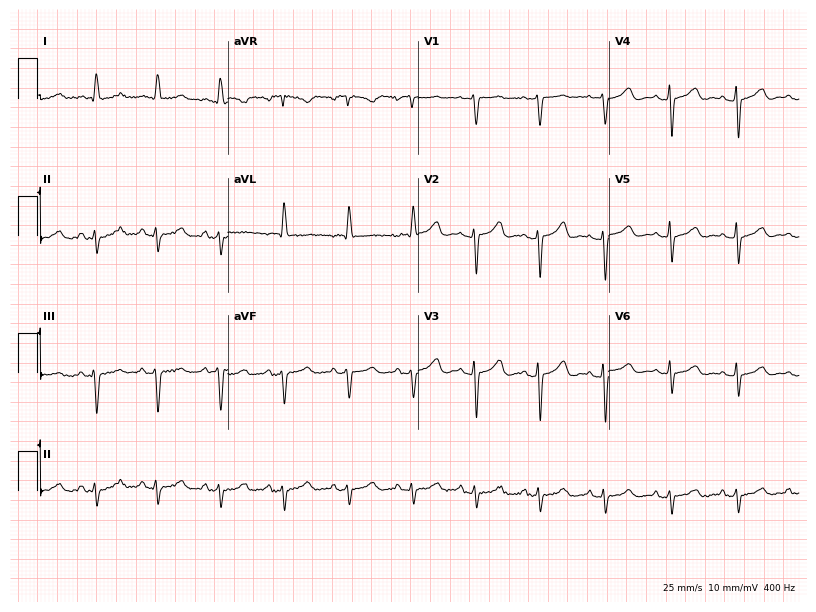
12-lead ECG from a 65-year-old female patient (7.8-second recording at 400 Hz). No first-degree AV block, right bundle branch block (RBBB), left bundle branch block (LBBB), sinus bradycardia, atrial fibrillation (AF) or sinus tachycardia recorded for this tracing. Only these six findings were labelled.